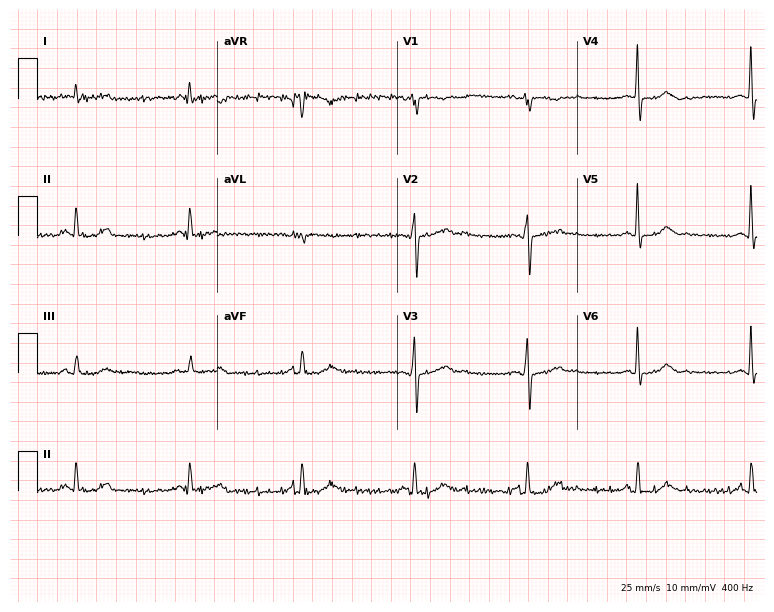
Electrocardiogram (7.3-second recording at 400 Hz), a 64-year-old male patient. Of the six screened findings (first-degree AV block, right bundle branch block, left bundle branch block, sinus bradycardia, atrial fibrillation, sinus tachycardia), none is recorded.